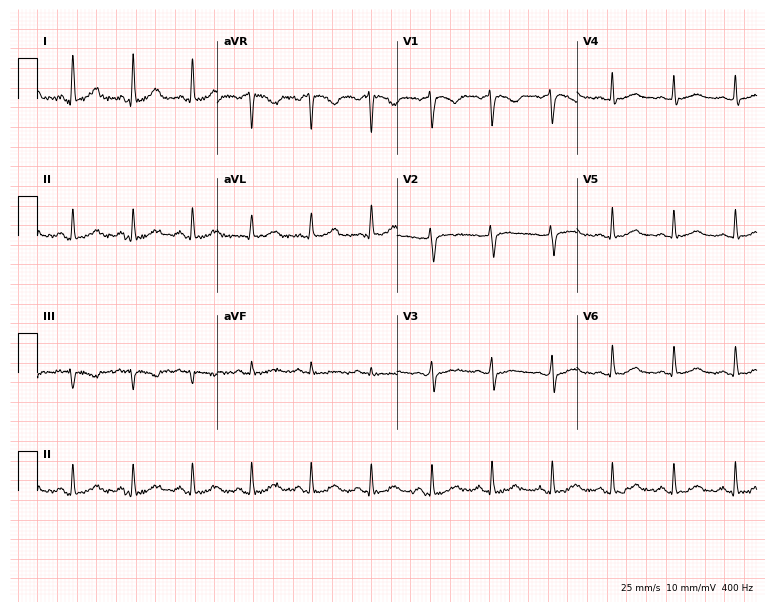
ECG — a 36-year-old female patient. Screened for six findings — first-degree AV block, right bundle branch block (RBBB), left bundle branch block (LBBB), sinus bradycardia, atrial fibrillation (AF), sinus tachycardia — none is recorded. Findings outside these six are not listed.